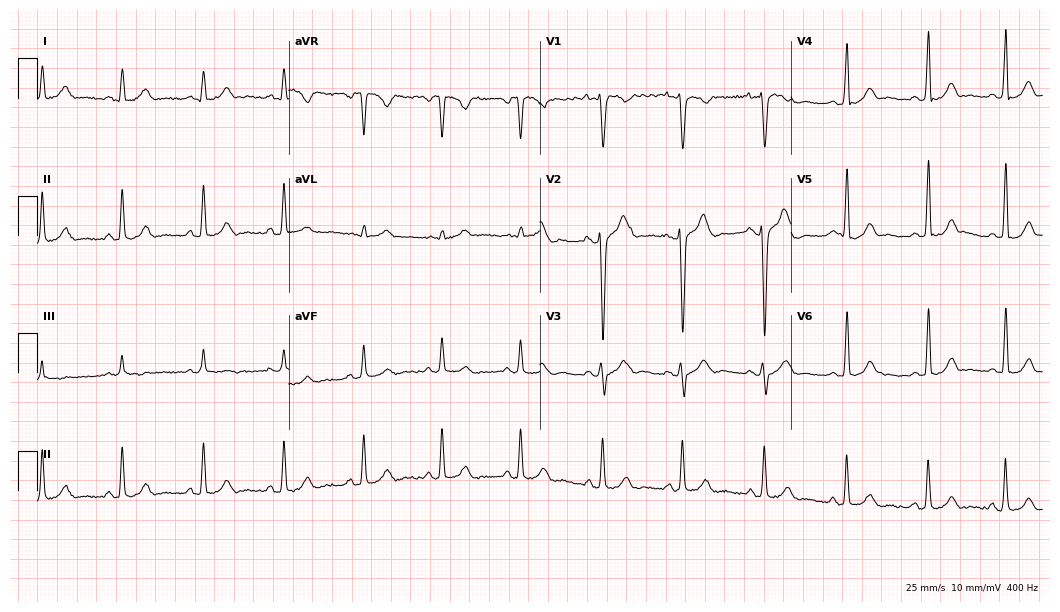
12-lead ECG from a male patient, 21 years old. No first-degree AV block, right bundle branch block (RBBB), left bundle branch block (LBBB), sinus bradycardia, atrial fibrillation (AF) or sinus tachycardia recorded for this tracing. Other findings, if any, are not listed.